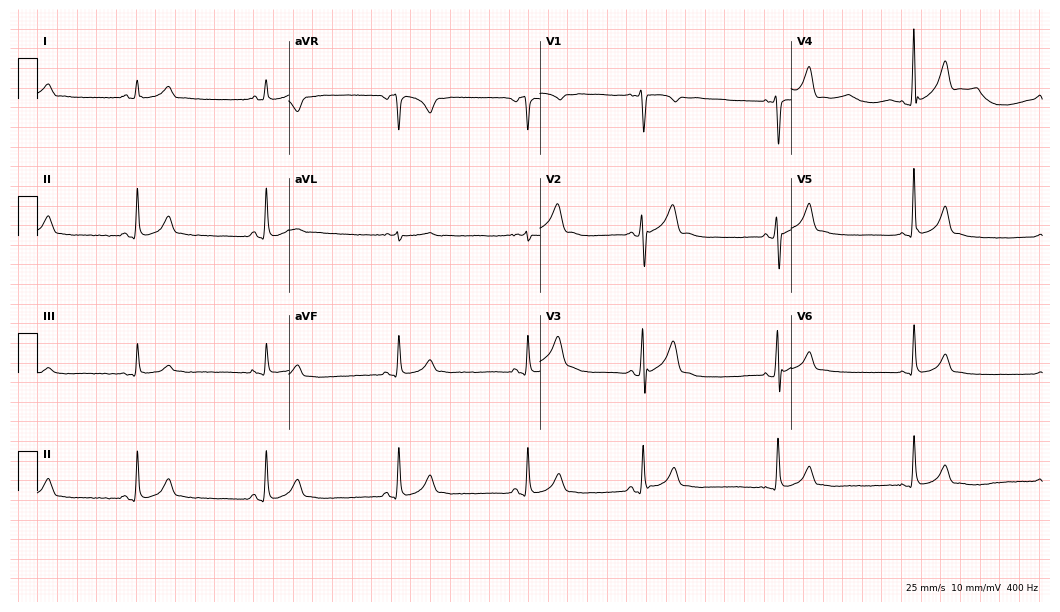
Resting 12-lead electrocardiogram. Patient: a 26-year-old male. The tracing shows sinus bradycardia (a sinus rate of 50 beats per minute or less).